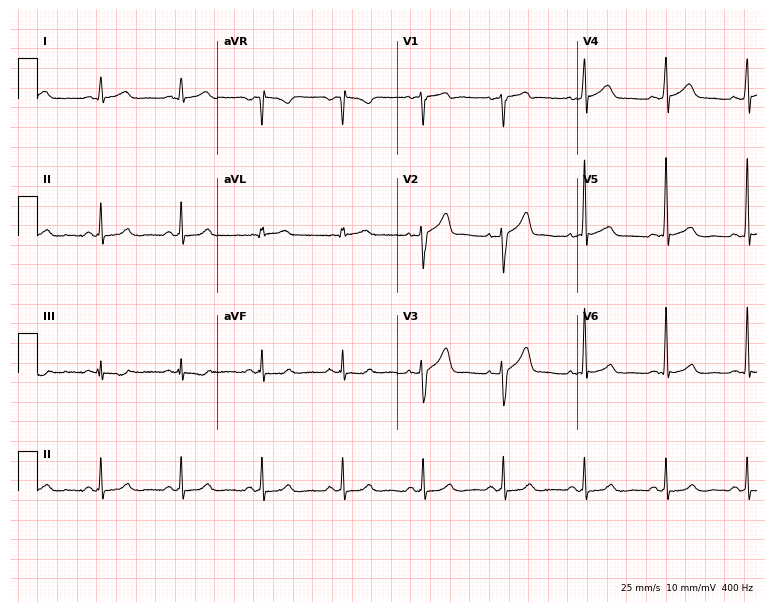
12-lead ECG (7.3-second recording at 400 Hz) from a 40-year-old man. Labelled as a normal ECG.